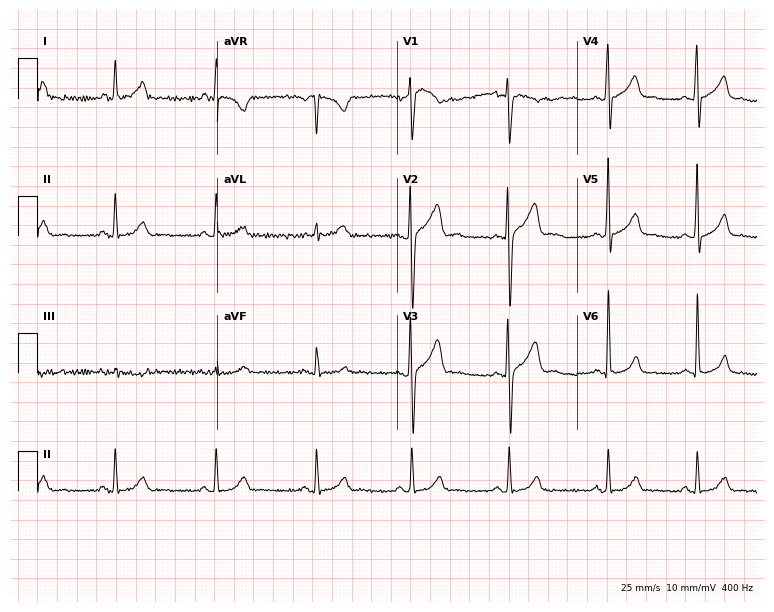
Standard 12-lead ECG recorded from a male, 27 years old (7.3-second recording at 400 Hz). Read as a normal ECG.